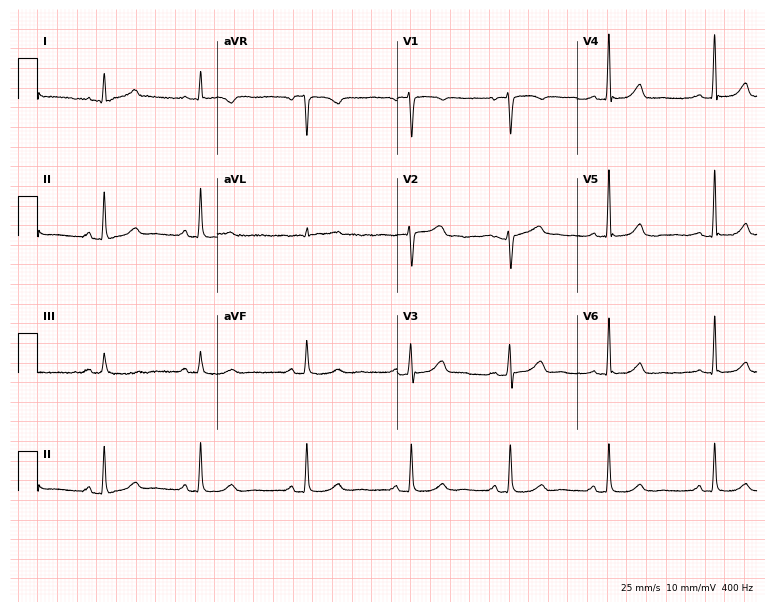
12-lead ECG from a woman, 37 years old. Screened for six findings — first-degree AV block, right bundle branch block, left bundle branch block, sinus bradycardia, atrial fibrillation, sinus tachycardia — none is recorded.